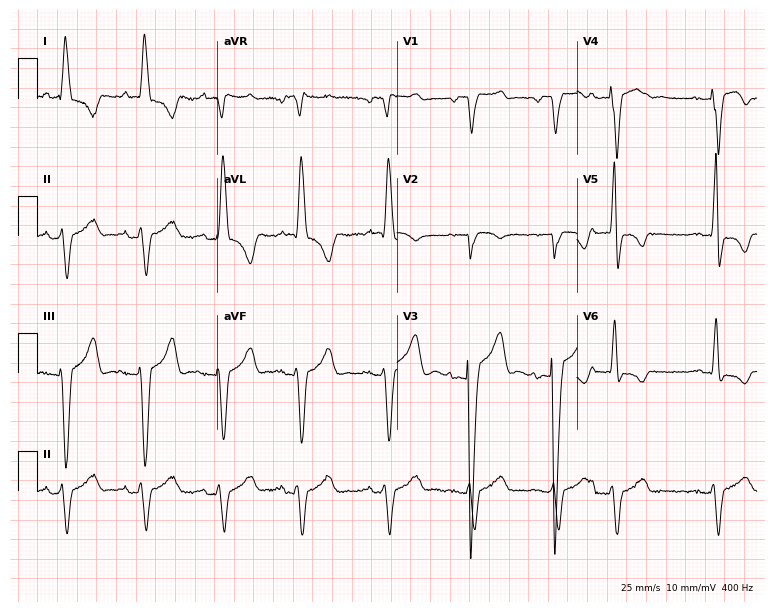
Resting 12-lead electrocardiogram. Patient: a male, 82 years old. The tracing shows left bundle branch block.